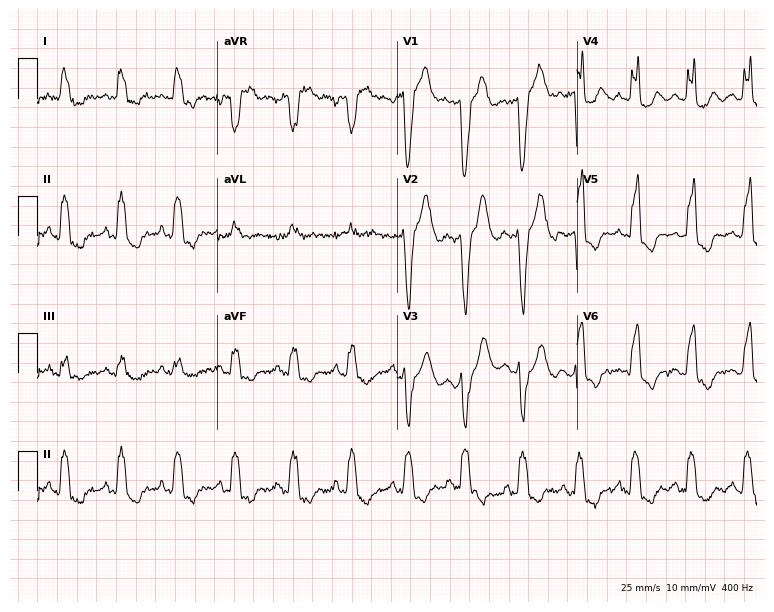
ECG — an 84-year-old female patient. Findings include left bundle branch block, sinus tachycardia (a sinus rate of 100 beats per minute or more).